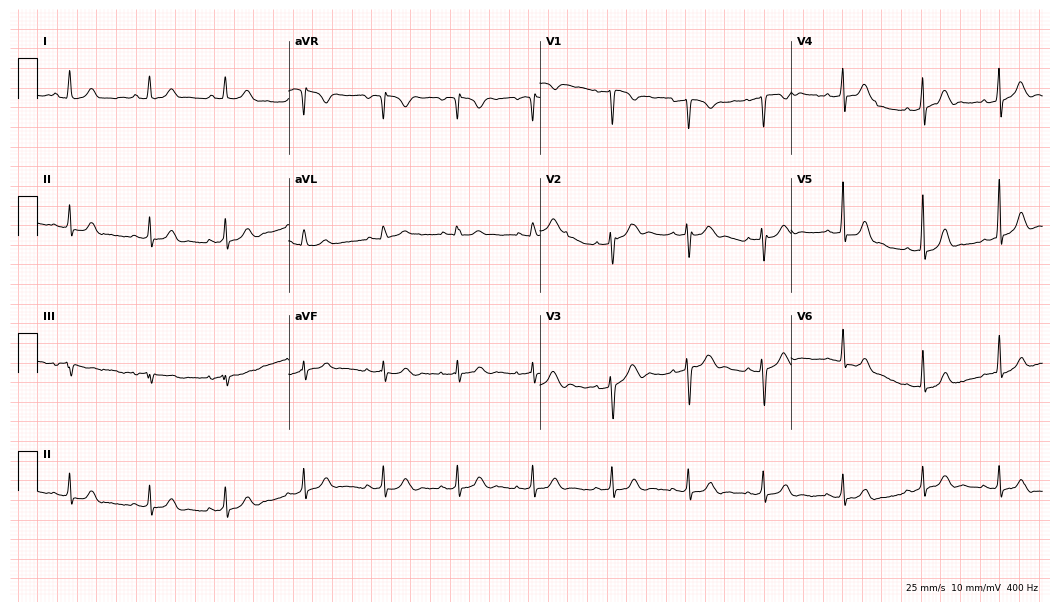
Resting 12-lead electrocardiogram. Patient: a female, 22 years old. Read as a normal ECG.